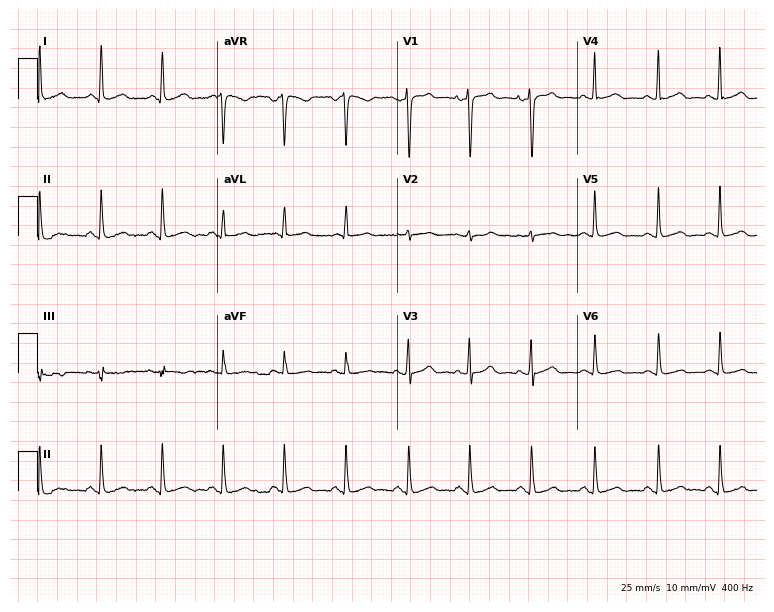
ECG — a 50-year-old female patient. Labelled as a normal ECG.